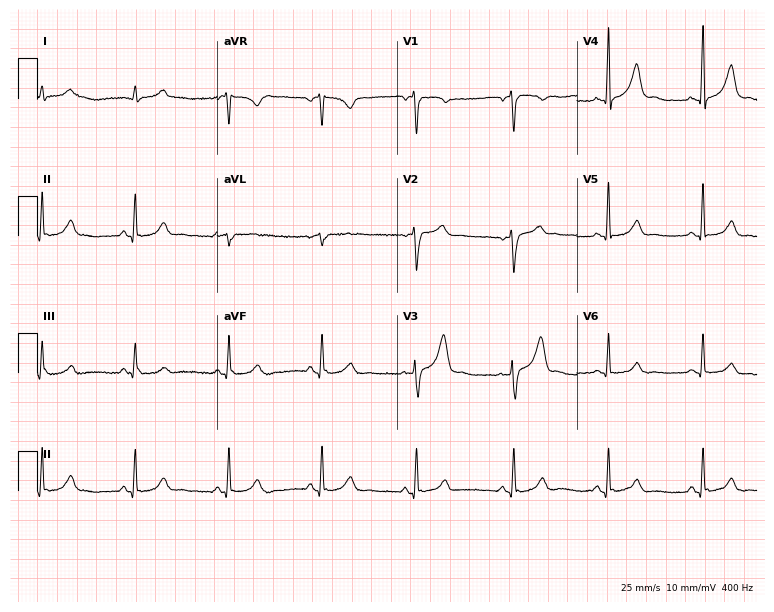
ECG (7.3-second recording at 400 Hz) — a 49-year-old male. Screened for six findings — first-degree AV block, right bundle branch block, left bundle branch block, sinus bradycardia, atrial fibrillation, sinus tachycardia — none is recorded.